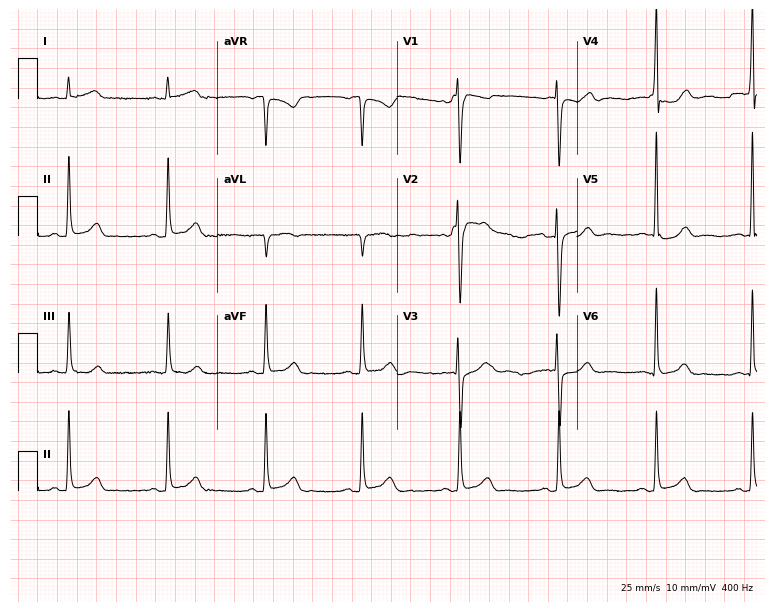
Electrocardiogram (7.3-second recording at 400 Hz), a female patient, 27 years old. Overall reading on record: normal ECG.